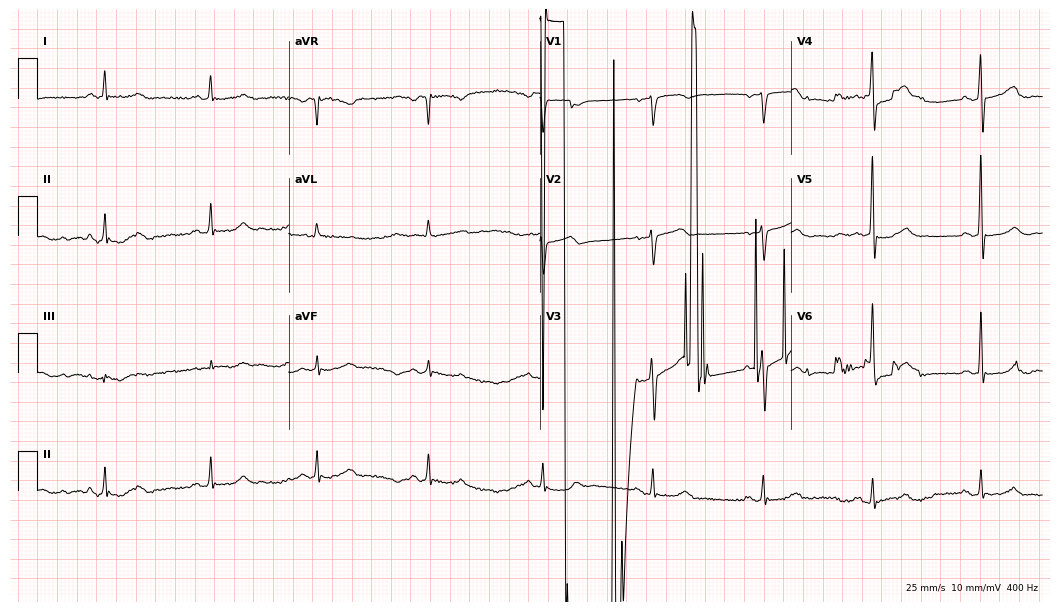
ECG — a 77-year-old male. Screened for six findings — first-degree AV block, right bundle branch block, left bundle branch block, sinus bradycardia, atrial fibrillation, sinus tachycardia — none is recorded.